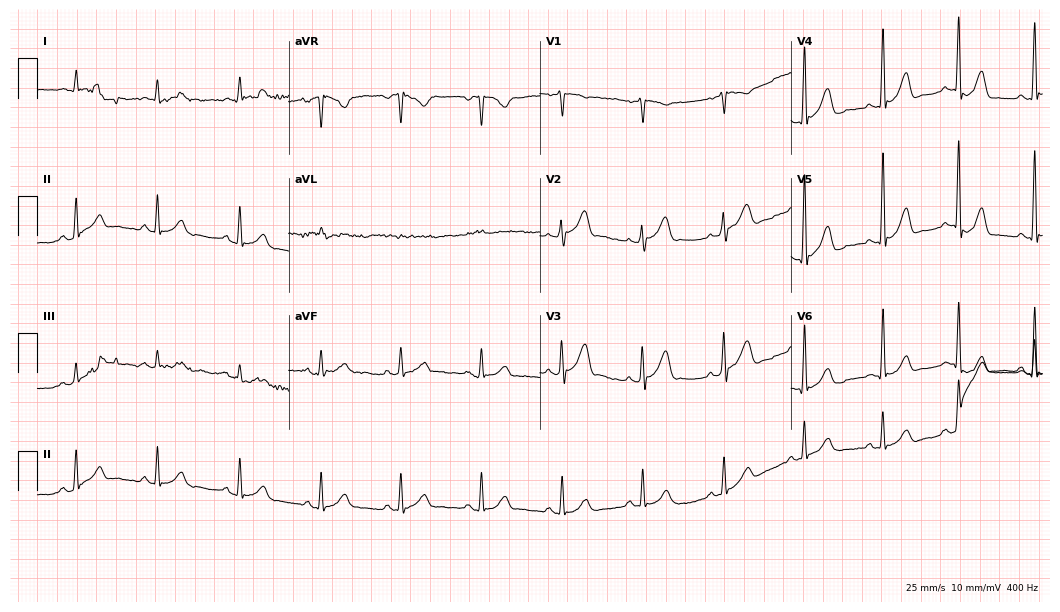
12-lead ECG from a 53-year-old man. Recorded interpretation: within normal limits.